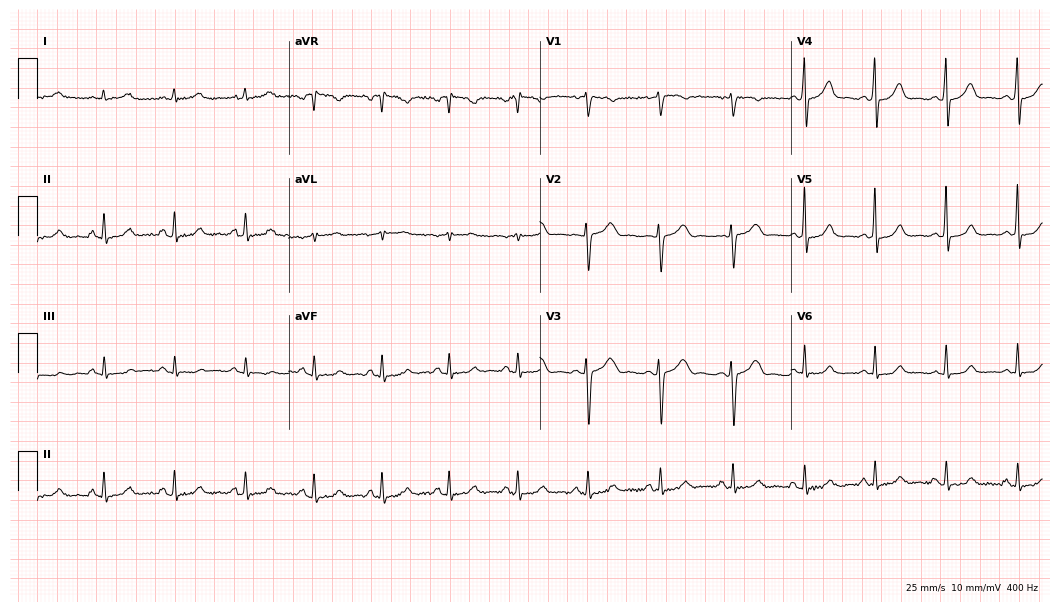
Standard 12-lead ECG recorded from a female, 17 years old. None of these six findings is recorded: first-degree AV block, right bundle branch block, left bundle branch block, sinus bradycardia, atrial fibrillation, sinus tachycardia.